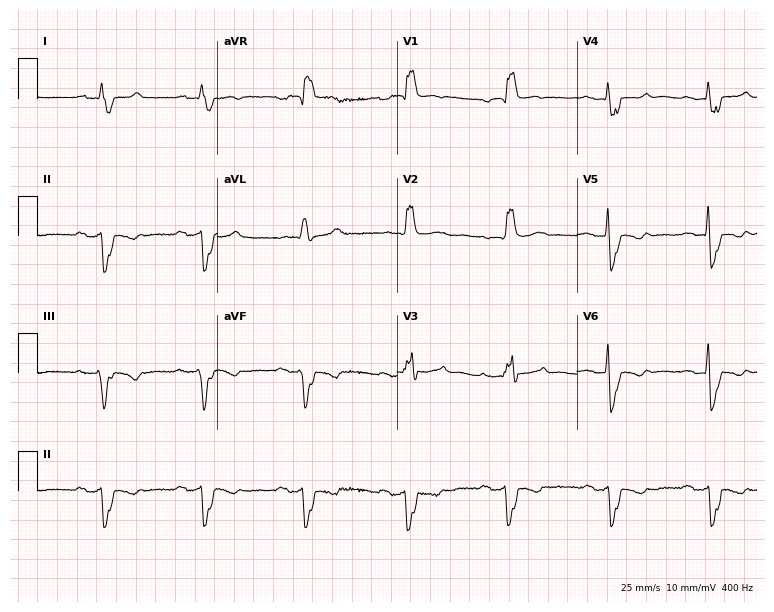
Electrocardiogram (7.3-second recording at 400 Hz), a woman, 59 years old. Interpretation includes first-degree AV block, right bundle branch block (RBBB).